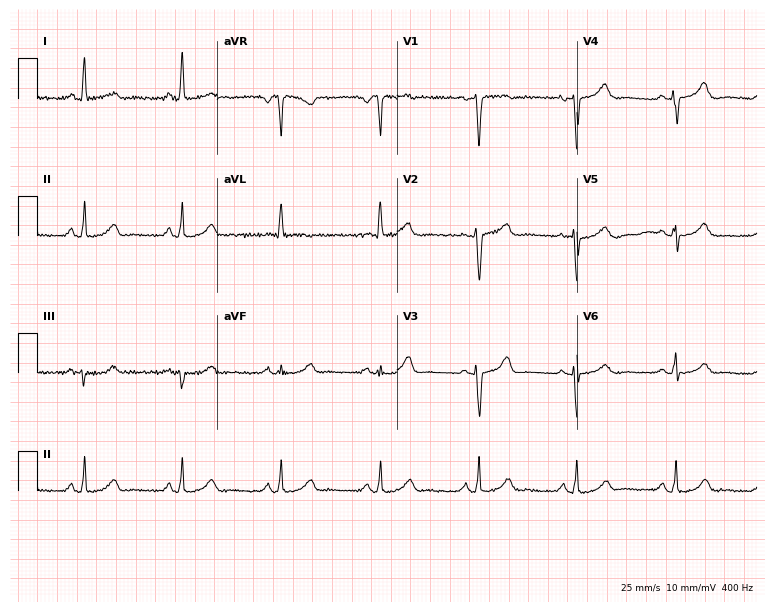
12-lead ECG from a female patient, 52 years old (7.3-second recording at 400 Hz). Recorded interpretation: within normal limits.